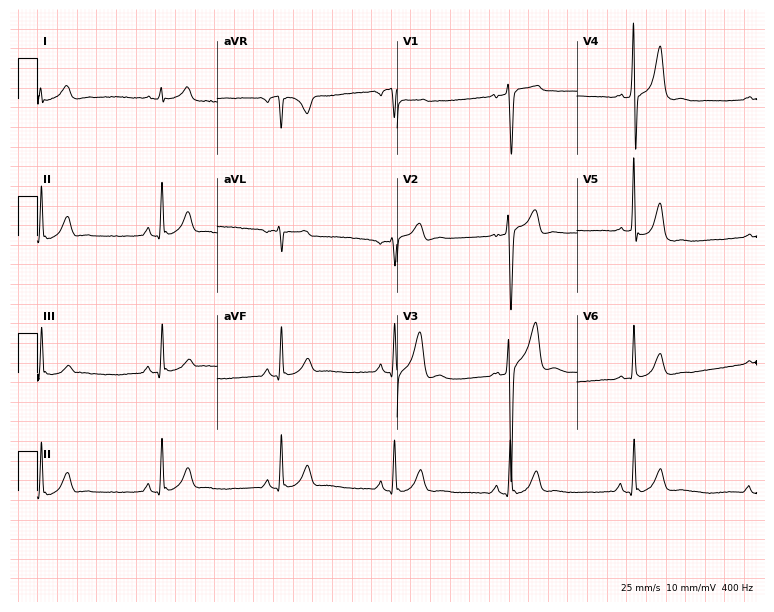
12-lead ECG from a male, 57 years old (7.3-second recording at 400 Hz). Shows sinus bradycardia (a sinus rate of 50 beats per minute or less).